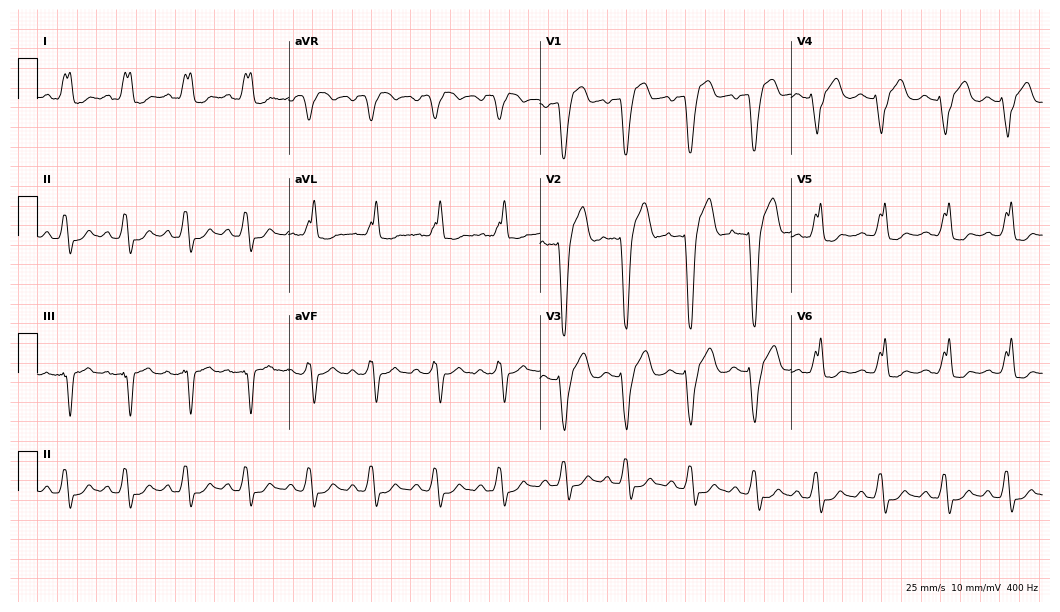
Electrocardiogram, a woman, 41 years old. Interpretation includes left bundle branch block.